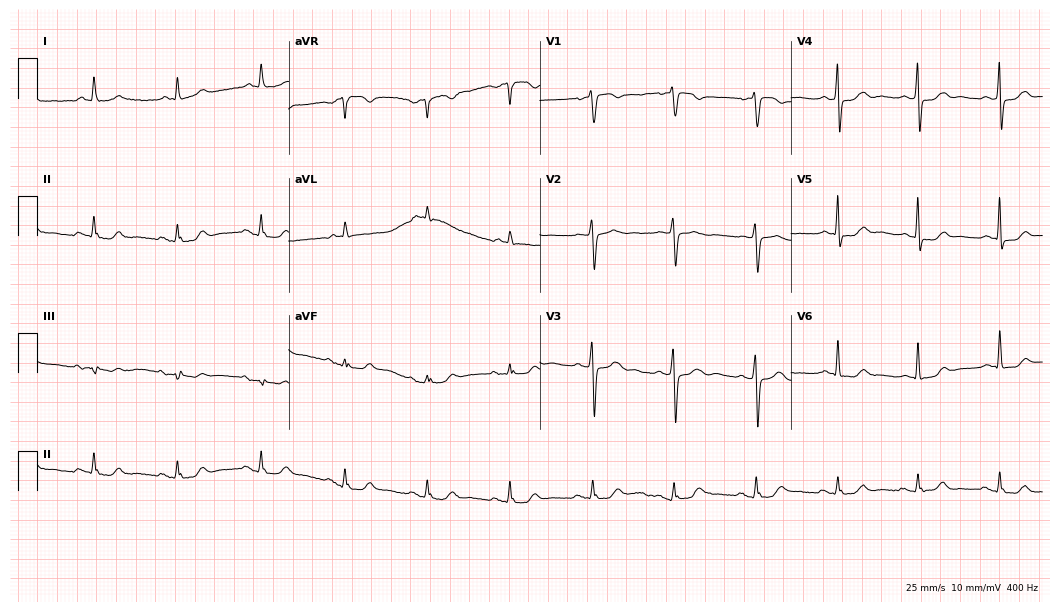
ECG — a 72-year-old male patient. Screened for six findings — first-degree AV block, right bundle branch block (RBBB), left bundle branch block (LBBB), sinus bradycardia, atrial fibrillation (AF), sinus tachycardia — none is recorded. Findings outside these six are not listed.